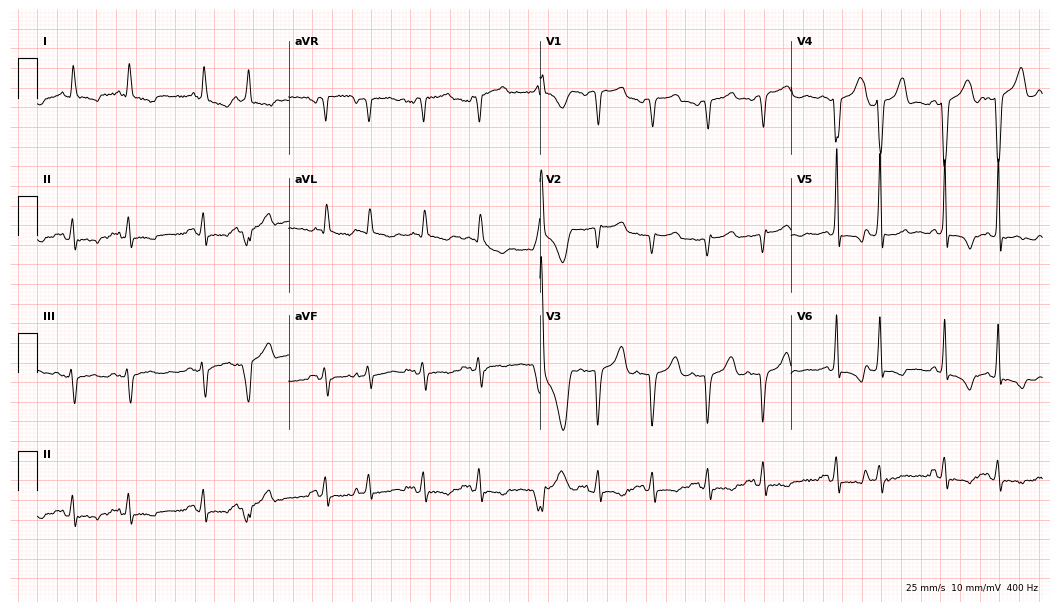
12-lead ECG from an 80-year-old female patient (10.2-second recording at 400 Hz). No first-degree AV block, right bundle branch block (RBBB), left bundle branch block (LBBB), sinus bradycardia, atrial fibrillation (AF) or sinus tachycardia recorded for this tracing.